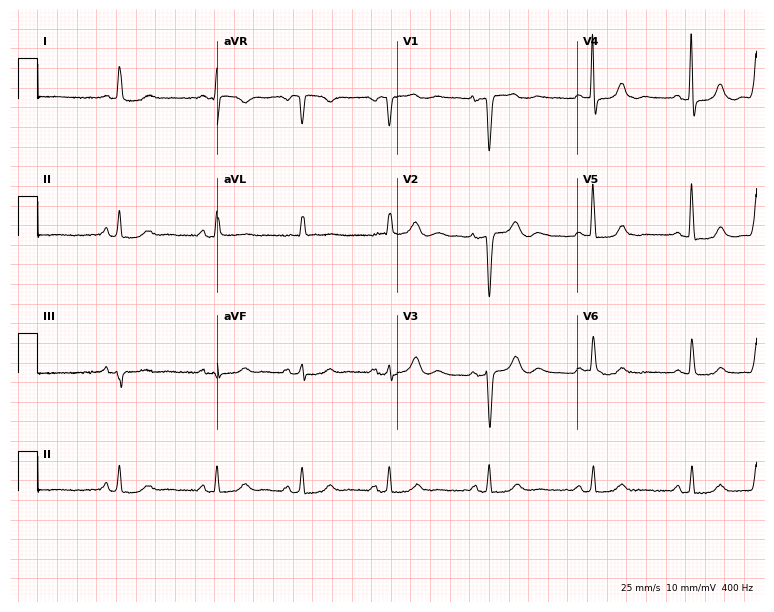
ECG (7.3-second recording at 400 Hz) — a woman, 85 years old. Screened for six findings — first-degree AV block, right bundle branch block, left bundle branch block, sinus bradycardia, atrial fibrillation, sinus tachycardia — none is recorded. Other findings, if any, are not listed.